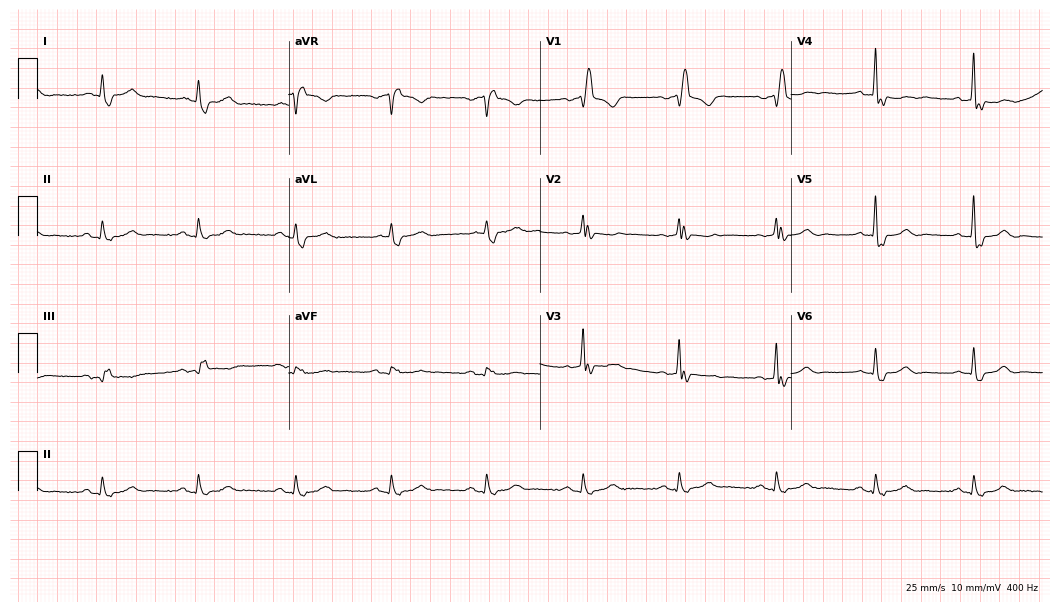
Resting 12-lead electrocardiogram. Patient: an 82-year-old male. The tracing shows right bundle branch block.